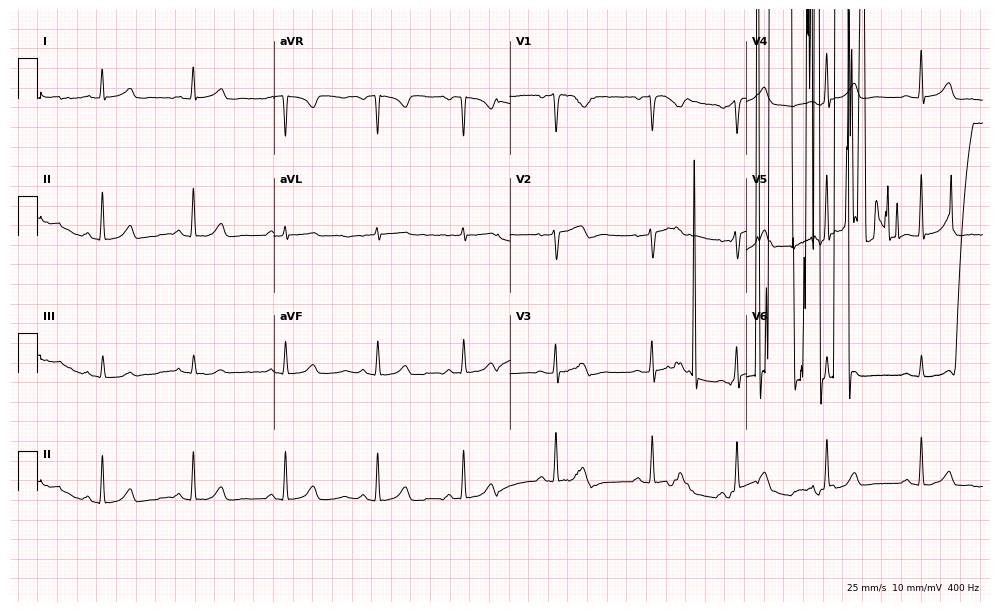
Standard 12-lead ECG recorded from a female patient, 34 years old (9.6-second recording at 400 Hz). None of these six findings is recorded: first-degree AV block, right bundle branch block, left bundle branch block, sinus bradycardia, atrial fibrillation, sinus tachycardia. Only these six findings were labelled.